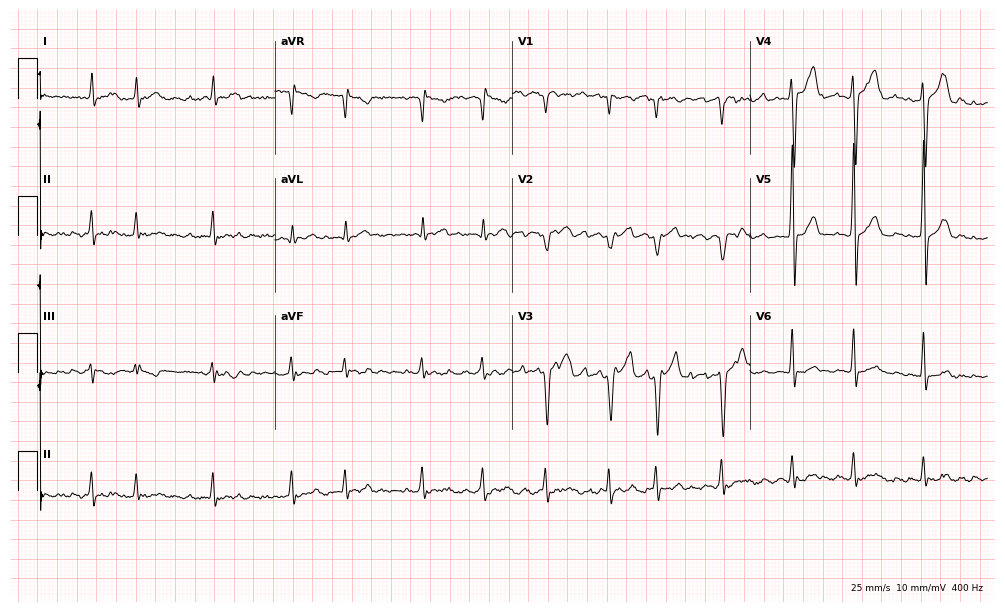
ECG (9.7-second recording at 400 Hz) — a 61-year-old man. Findings include atrial fibrillation.